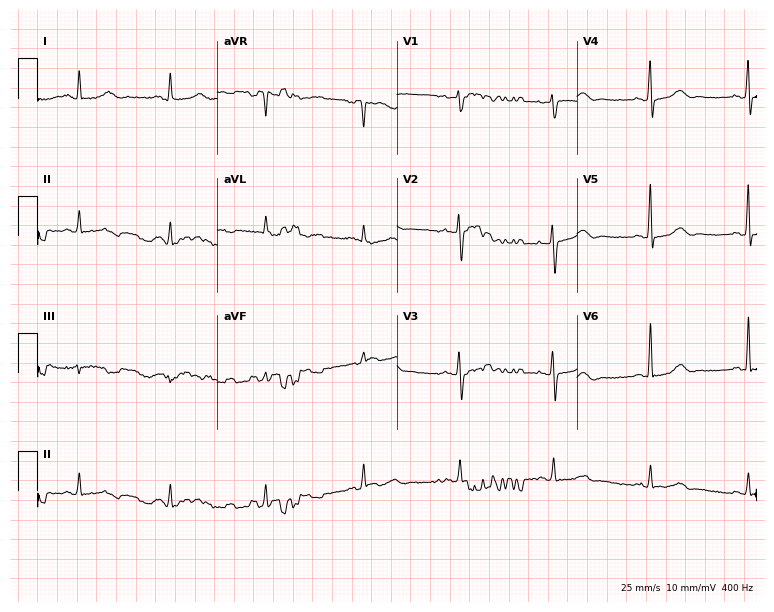
12-lead ECG from a 60-year-old female. No first-degree AV block, right bundle branch block, left bundle branch block, sinus bradycardia, atrial fibrillation or sinus tachycardia recorded for this tracing.